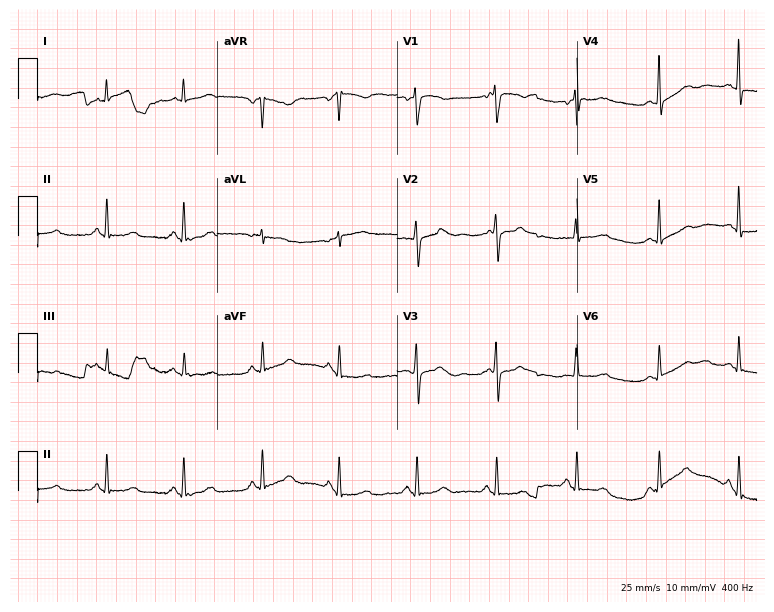
Standard 12-lead ECG recorded from a 58-year-old female (7.3-second recording at 400 Hz). Read as a normal ECG.